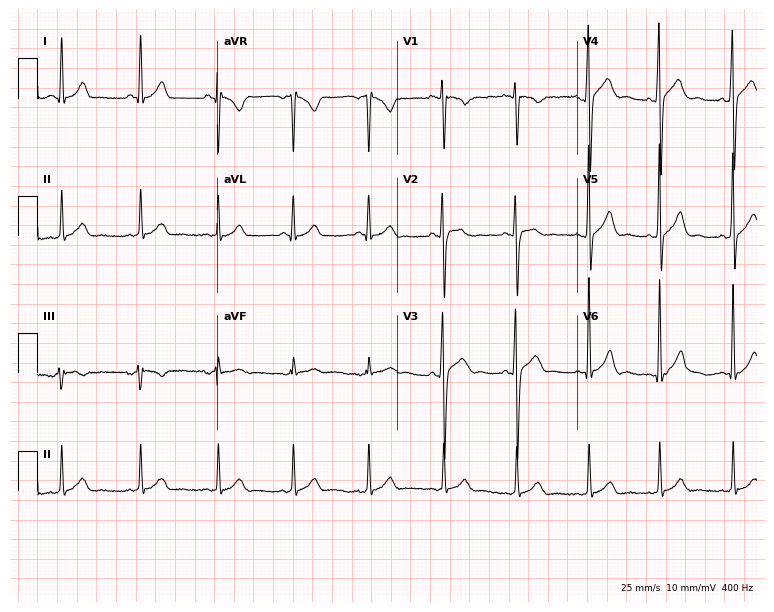
Electrocardiogram, a male patient, 21 years old. Overall reading on record: normal ECG.